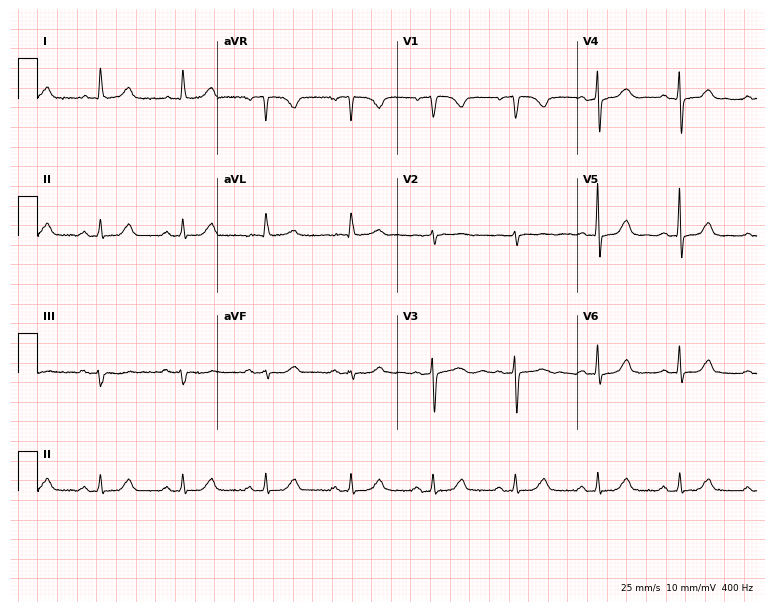
Standard 12-lead ECG recorded from a 74-year-old woman (7.3-second recording at 400 Hz). Read as a normal ECG.